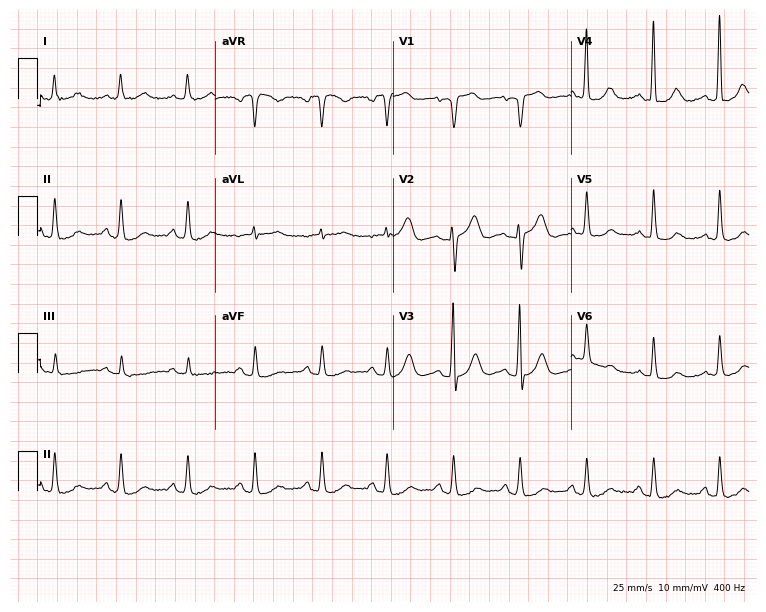
ECG — a 74-year-old female patient. Labelled as a normal ECG.